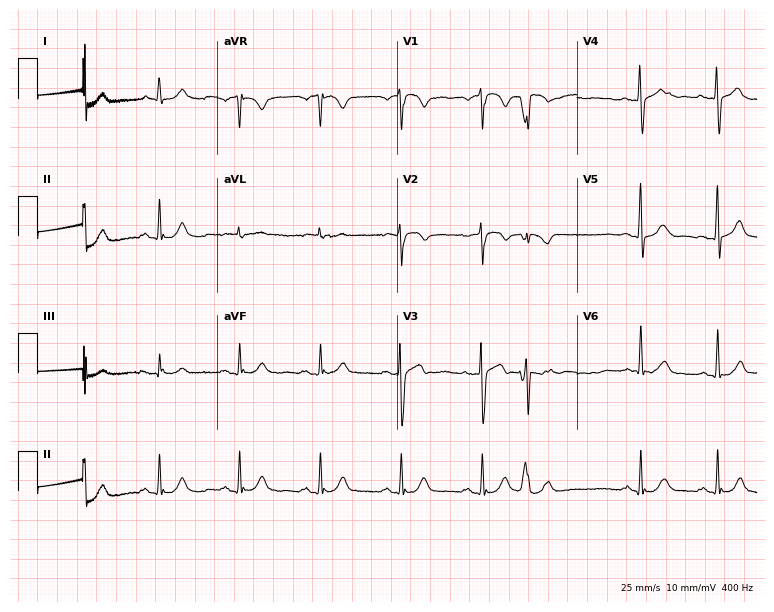
Standard 12-lead ECG recorded from a male, 79 years old. None of these six findings is recorded: first-degree AV block, right bundle branch block (RBBB), left bundle branch block (LBBB), sinus bradycardia, atrial fibrillation (AF), sinus tachycardia. Findings outside these six are not listed.